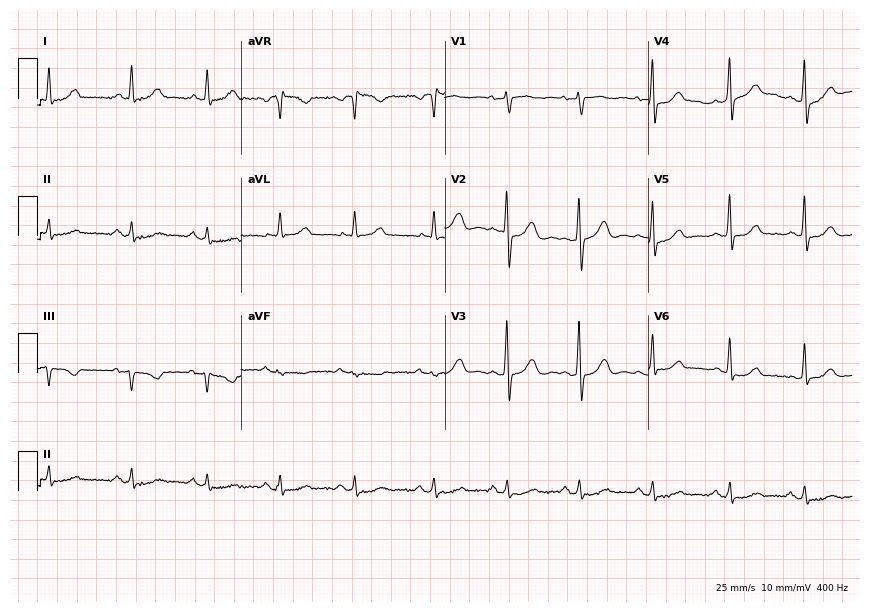
12-lead ECG from a woman, 50 years old. Labelled as a normal ECG.